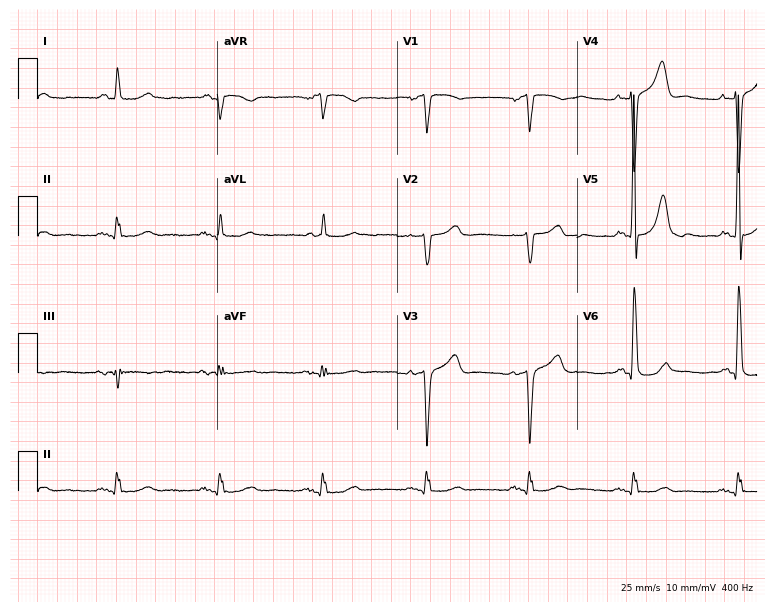
Standard 12-lead ECG recorded from a male patient, 78 years old (7.3-second recording at 400 Hz). Read as a normal ECG.